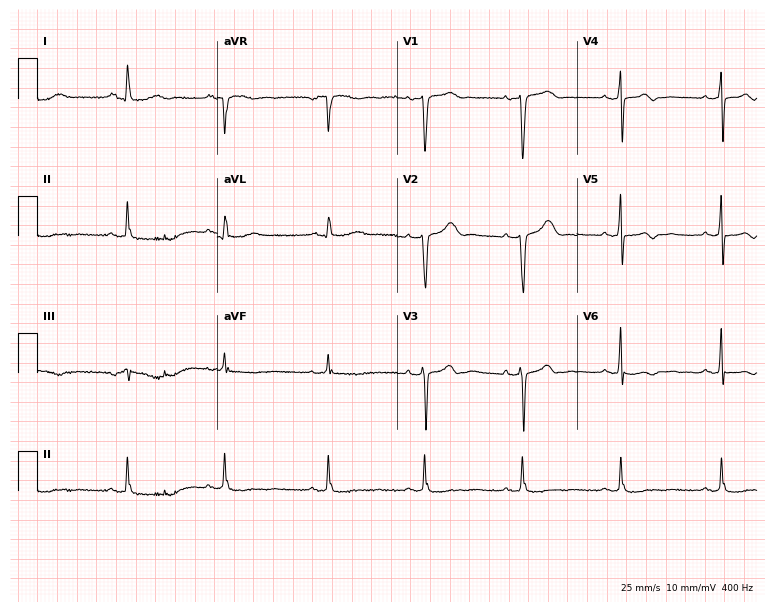
Resting 12-lead electrocardiogram (7.3-second recording at 400 Hz). Patient: a female, 62 years old. None of these six findings is recorded: first-degree AV block, right bundle branch block (RBBB), left bundle branch block (LBBB), sinus bradycardia, atrial fibrillation (AF), sinus tachycardia. Only these six findings were labelled.